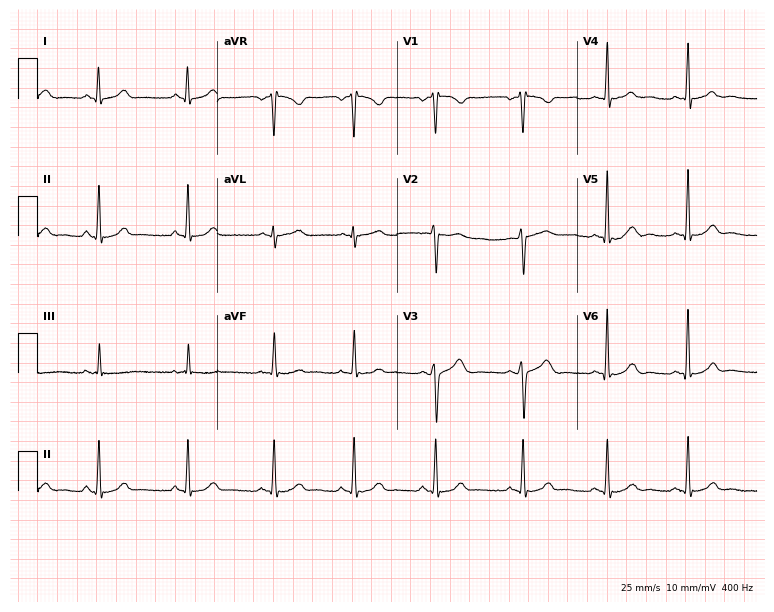
ECG (7.3-second recording at 400 Hz) — a female patient, 27 years old. Labelled as a normal ECG.